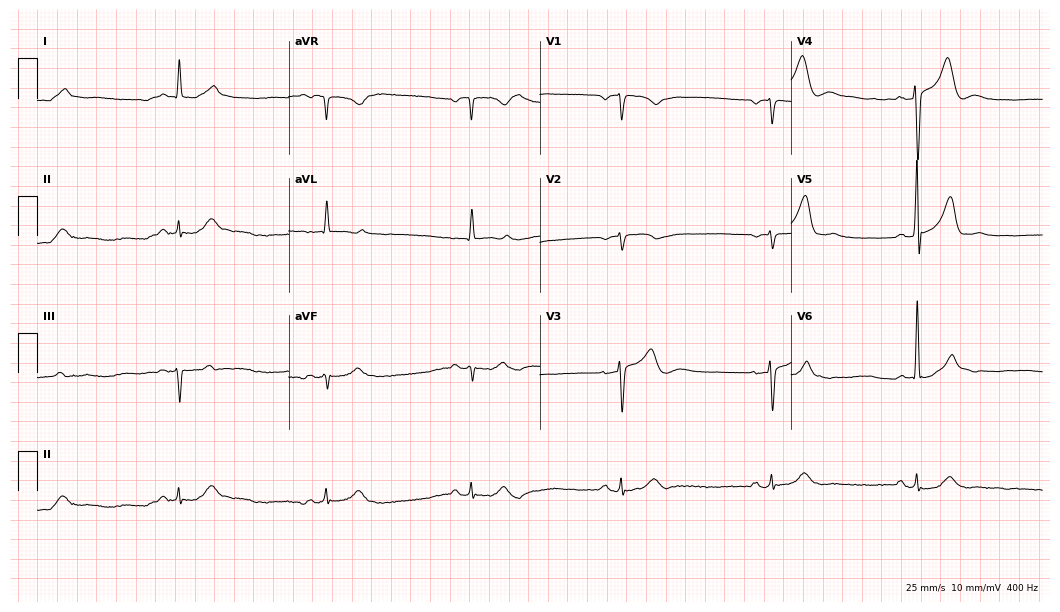
Standard 12-lead ECG recorded from a 68-year-old man. None of these six findings is recorded: first-degree AV block, right bundle branch block (RBBB), left bundle branch block (LBBB), sinus bradycardia, atrial fibrillation (AF), sinus tachycardia.